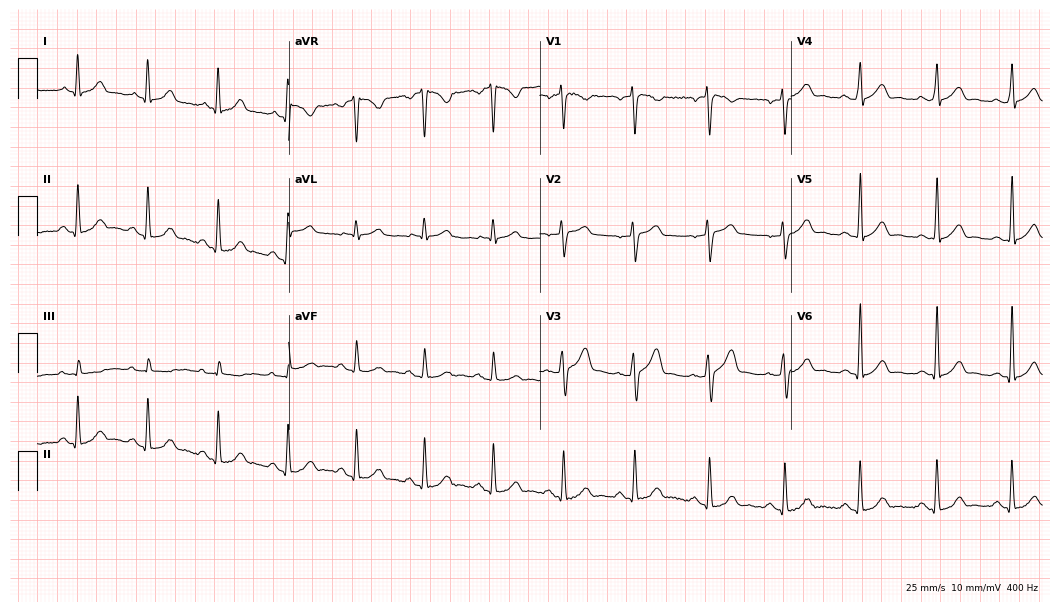
Resting 12-lead electrocardiogram (10.2-second recording at 400 Hz). Patient: a male, 31 years old. Read as a normal ECG.